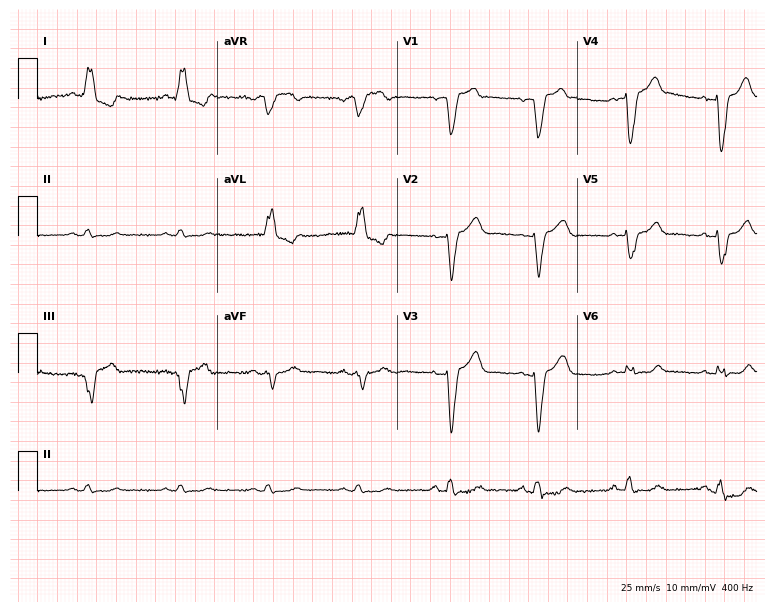
ECG — a 49-year-old woman. Findings include left bundle branch block (LBBB).